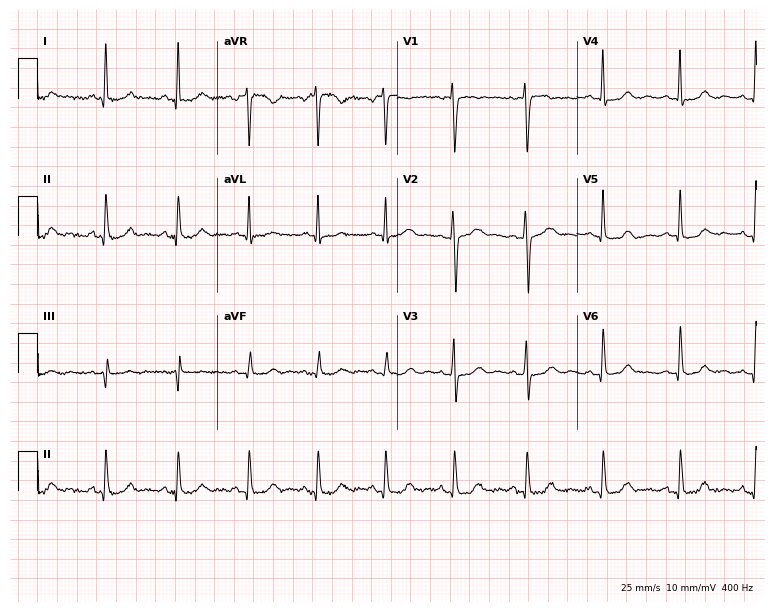
Standard 12-lead ECG recorded from a woman, 43 years old (7.3-second recording at 400 Hz). Read as a normal ECG.